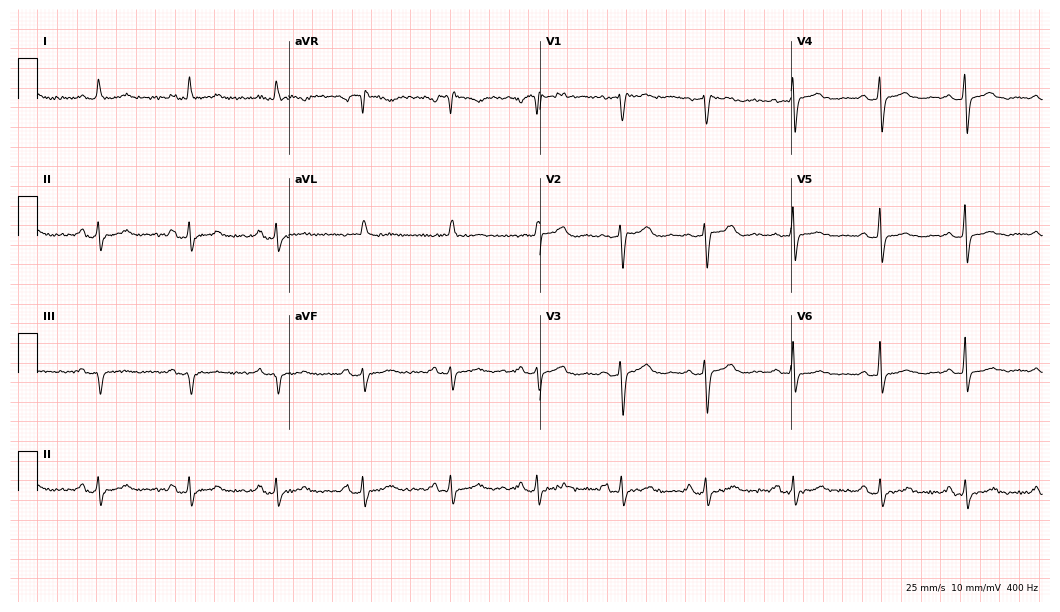
12-lead ECG from a woman, 51 years old (10.2-second recording at 400 Hz). Recorded interpretation: within normal limits.